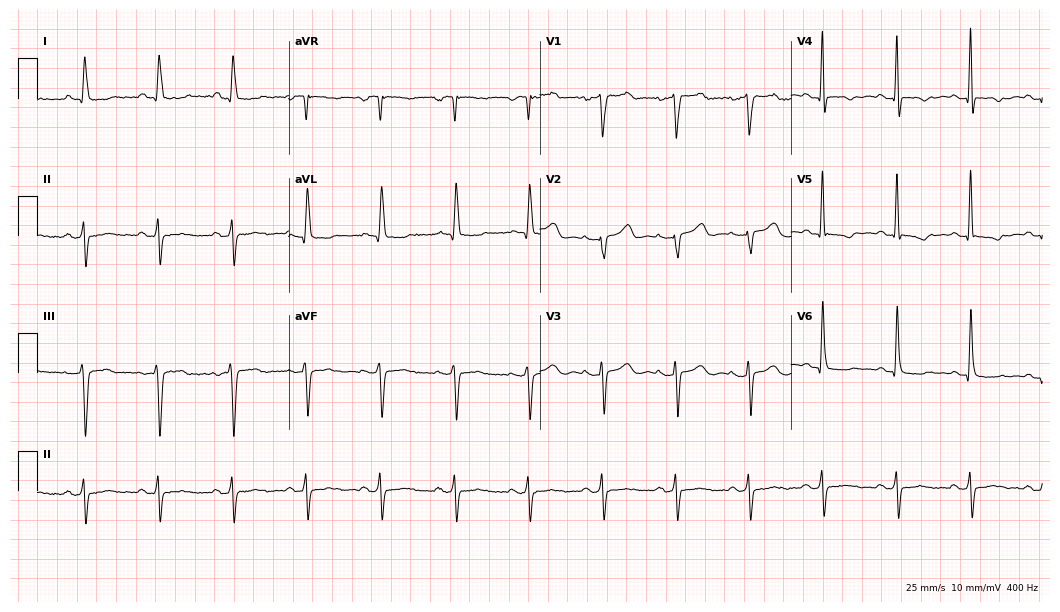
Resting 12-lead electrocardiogram. Patient: a female, 81 years old. None of these six findings is recorded: first-degree AV block, right bundle branch block, left bundle branch block, sinus bradycardia, atrial fibrillation, sinus tachycardia.